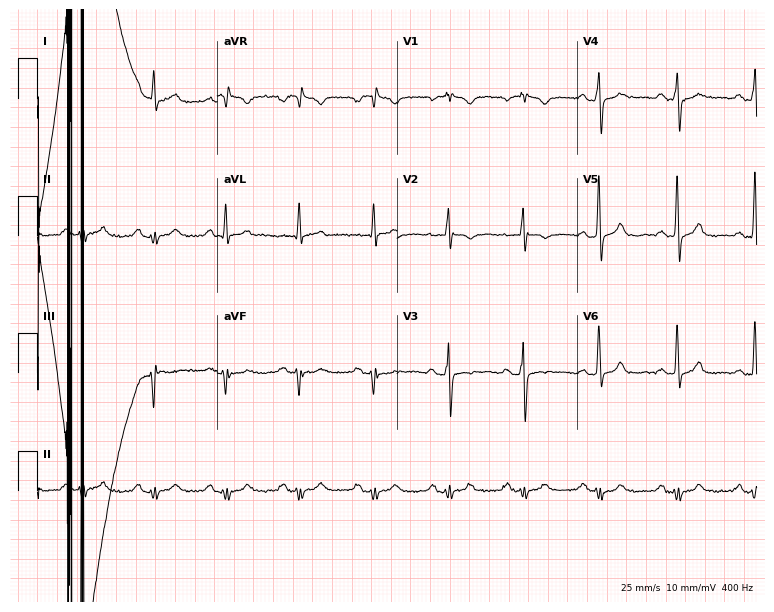
Standard 12-lead ECG recorded from a man, 73 years old. None of these six findings is recorded: first-degree AV block, right bundle branch block, left bundle branch block, sinus bradycardia, atrial fibrillation, sinus tachycardia.